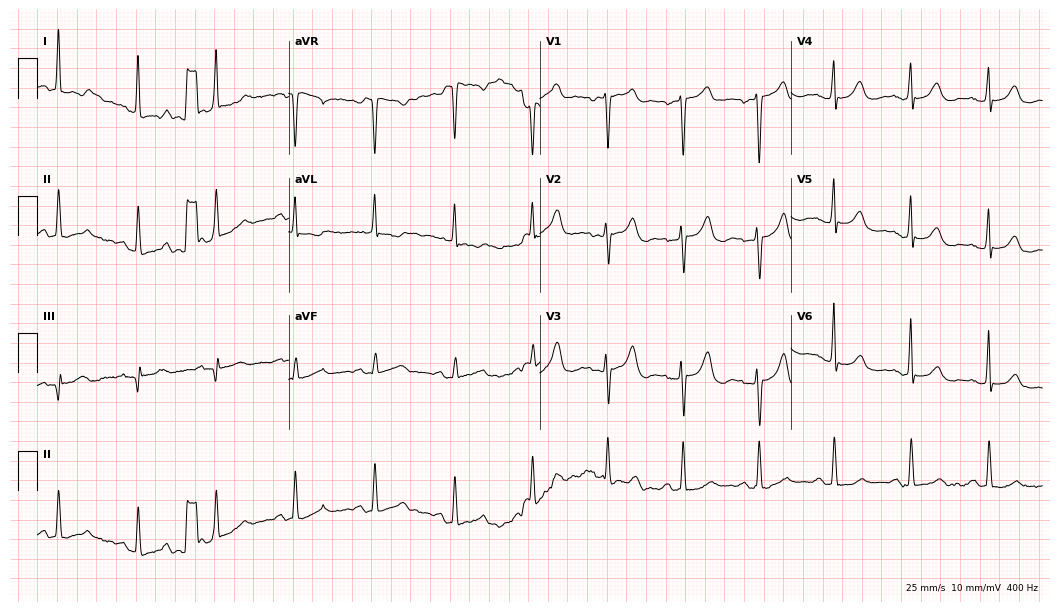
ECG (10.2-second recording at 400 Hz) — an 81-year-old female patient. Screened for six findings — first-degree AV block, right bundle branch block (RBBB), left bundle branch block (LBBB), sinus bradycardia, atrial fibrillation (AF), sinus tachycardia — none is recorded.